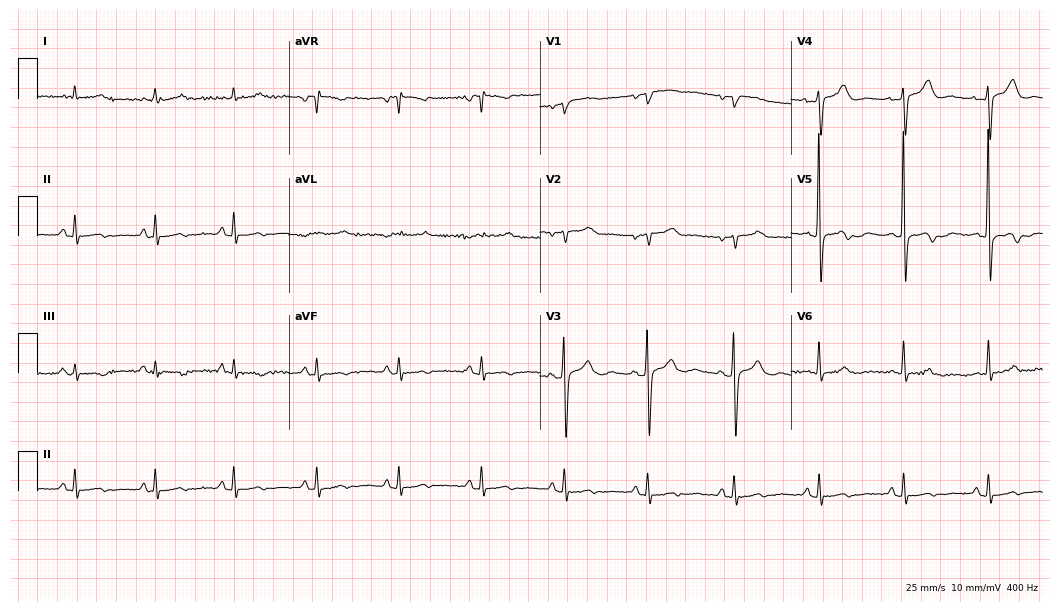
12-lead ECG from a woman, 84 years old. Screened for six findings — first-degree AV block, right bundle branch block, left bundle branch block, sinus bradycardia, atrial fibrillation, sinus tachycardia — none is recorded.